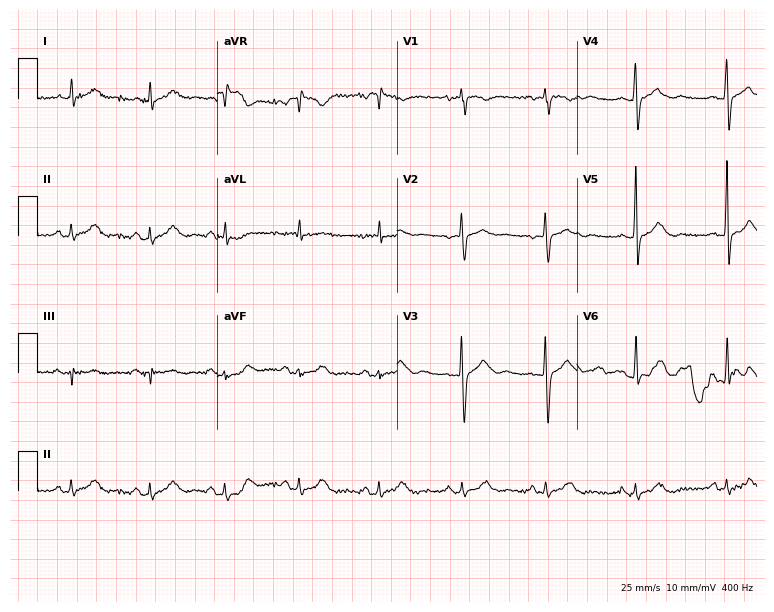
Resting 12-lead electrocardiogram (7.3-second recording at 400 Hz). Patient: a female, 37 years old. Read as a normal ECG.